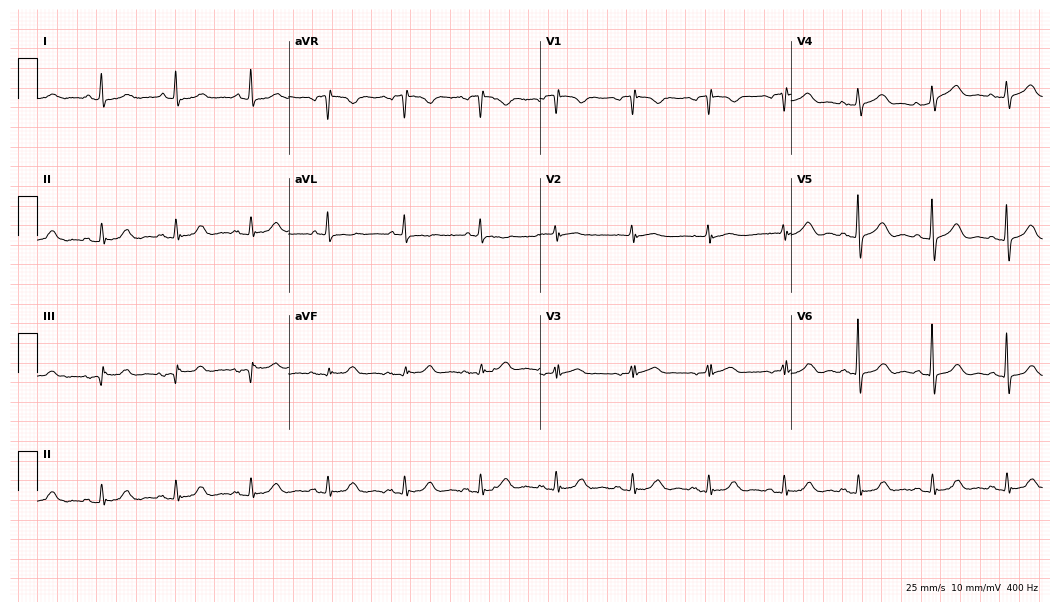
Standard 12-lead ECG recorded from an 81-year-old female. Read as a normal ECG.